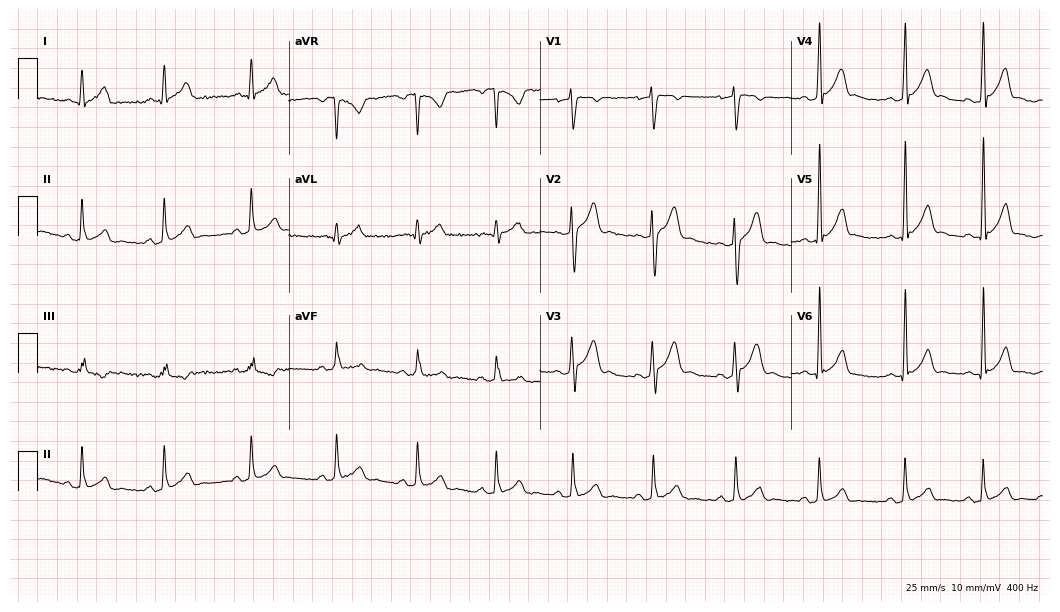
Electrocardiogram, a man, 23 years old. Of the six screened findings (first-degree AV block, right bundle branch block, left bundle branch block, sinus bradycardia, atrial fibrillation, sinus tachycardia), none is recorded.